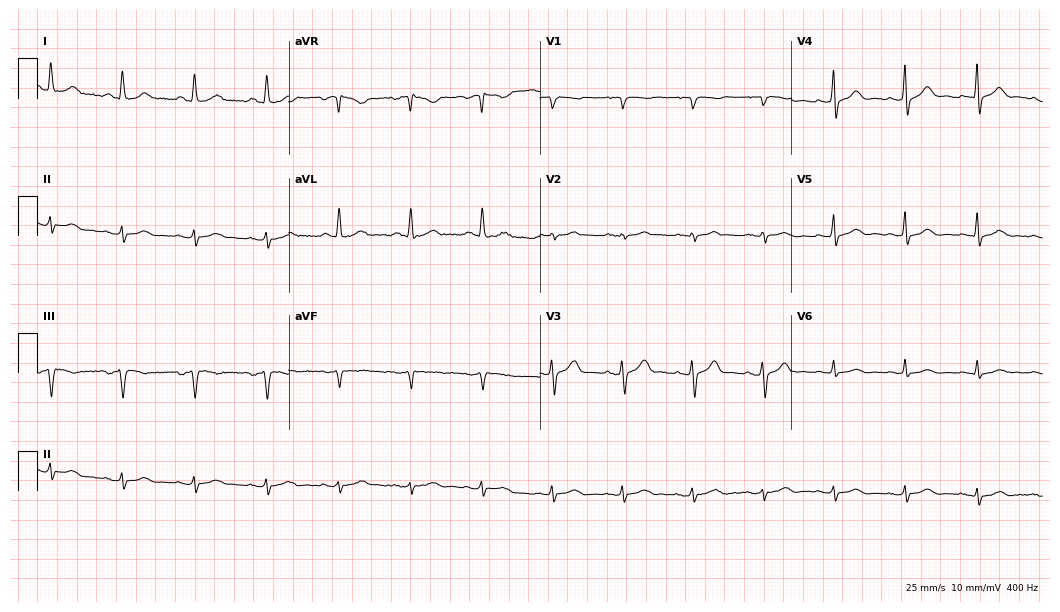
Standard 12-lead ECG recorded from a man, 55 years old (10.2-second recording at 400 Hz). Read as a normal ECG.